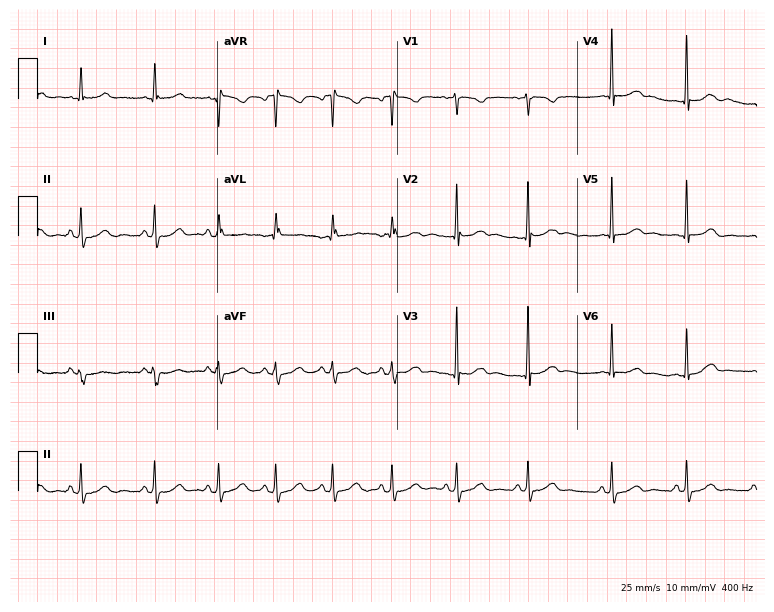
ECG — a 35-year-old woman. Screened for six findings — first-degree AV block, right bundle branch block (RBBB), left bundle branch block (LBBB), sinus bradycardia, atrial fibrillation (AF), sinus tachycardia — none is recorded. Other findings, if any, are not listed.